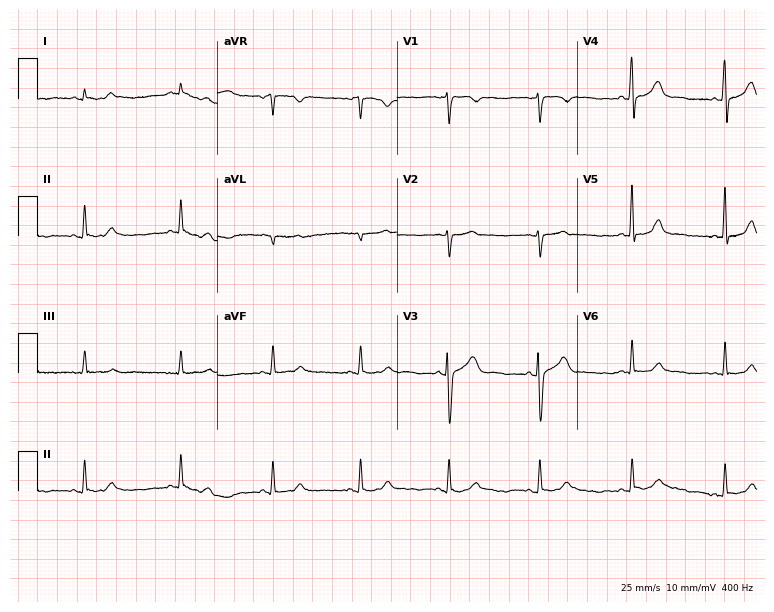
Standard 12-lead ECG recorded from a female patient, 58 years old (7.3-second recording at 400 Hz). None of these six findings is recorded: first-degree AV block, right bundle branch block, left bundle branch block, sinus bradycardia, atrial fibrillation, sinus tachycardia.